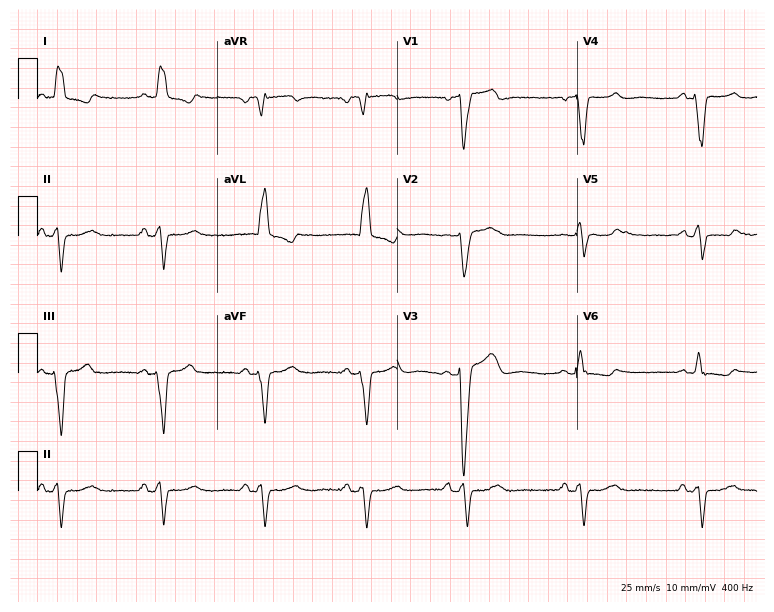
ECG — a female, 83 years old. Findings include left bundle branch block.